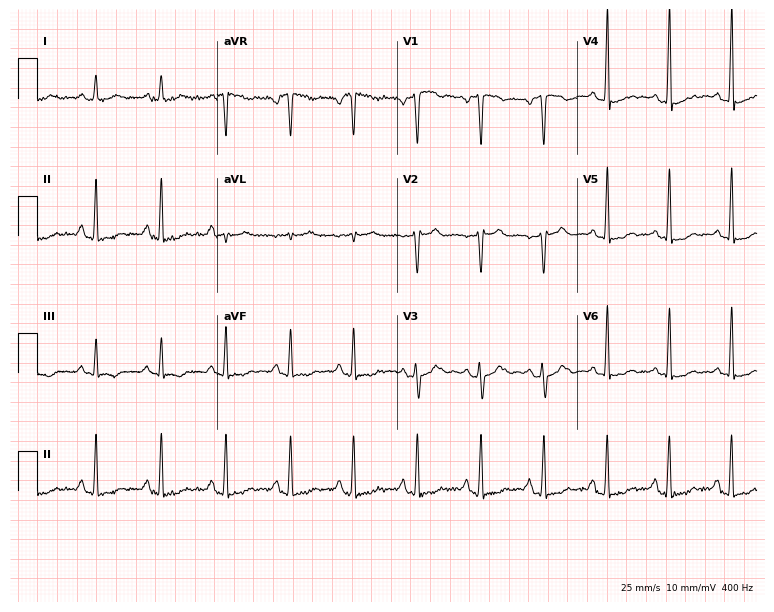
Electrocardiogram (7.3-second recording at 400 Hz), a female patient, 23 years old. Of the six screened findings (first-degree AV block, right bundle branch block (RBBB), left bundle branch block (LBBB), sinus bradycardia, atrial fibrillation (AF), sinus tachycardia), none is recorded.